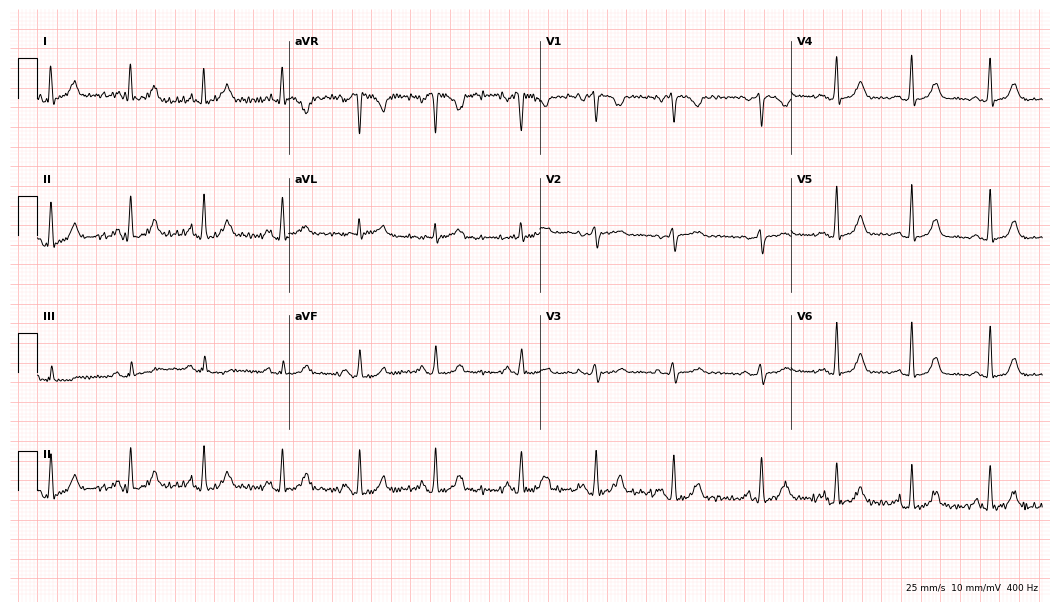
Standard 12-lead ECG recorded from a 47-year-old woman (10.2-second recording at 400 Hz). Read as a normal ECG.